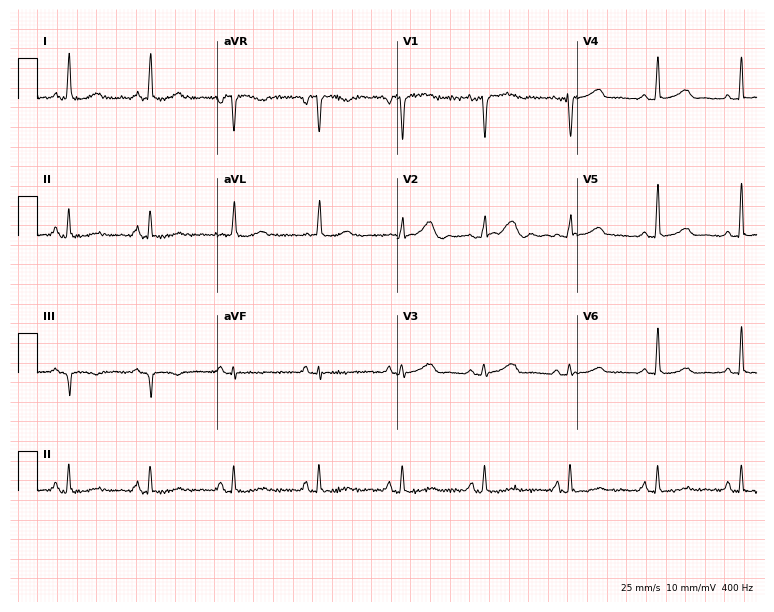
Resting 12-lead electrocardiogram. Patient: a 75-year-old woman. None of these six findings is recorded: first-degree AV block, right bundle branch block, left bundle branch block, sinus bradycardia, atrial fibrillation, sinus tachycardia. Other findings, if any, are not listed.